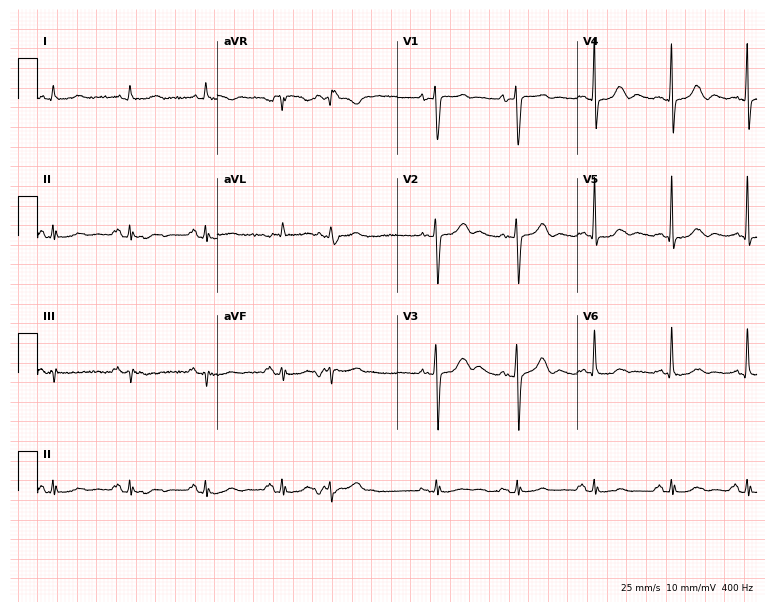
12-lead ECG from a 34-year-old male. Screened for six findings — first-degree AV block, right bundle branch block (RBBB), left bundle branch block (LBBB), sinus bradycardia, atrial fibrillation (AF), sinus tachycardia — none is recorded. Findings outside these six are not listed.